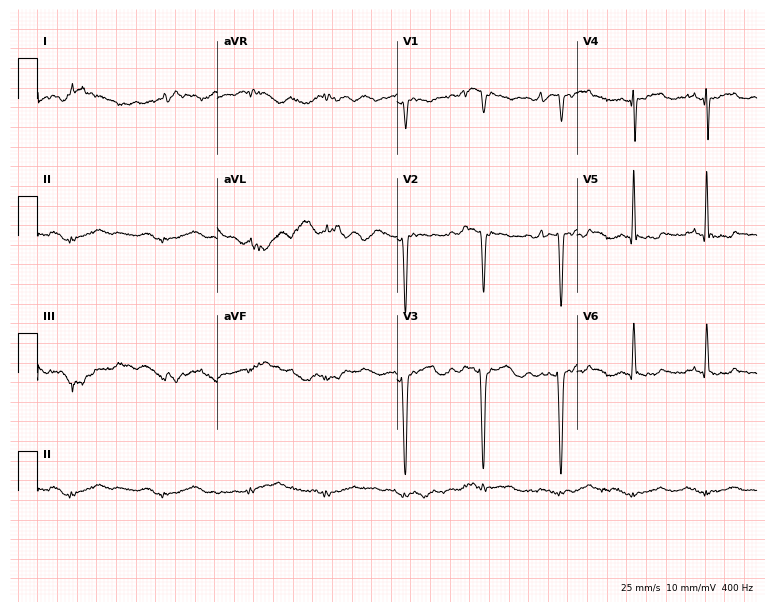
Resting 12-lead electrocardiogram. Patient: a female, 88 years old. None of these six findings is recorded: first-degree AV block, right bundle branch block, left bundle branch block, sinus bradycardia, atrial fibrillation, sinus tachycardia.